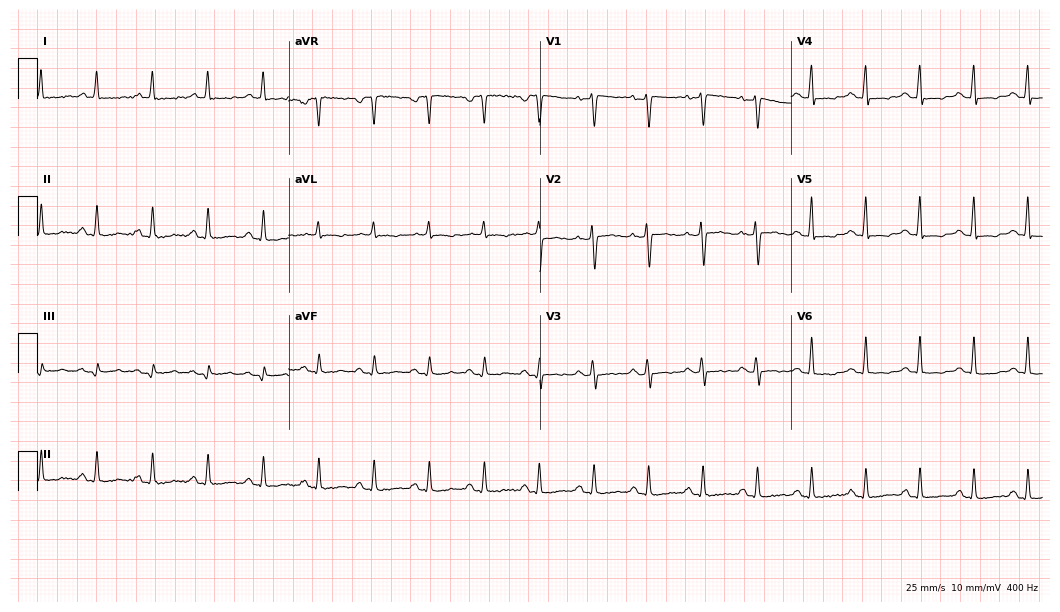
Resting 12-lead electrocardiogram. Patient: a 35-year-old female. None of these six findings is recorded: first-degree AV block, right bundle branch block, left bundle branch block, sinus bradycardia, atrial fibrillation, sinus tachycardia. Findings outside these six are not listed.